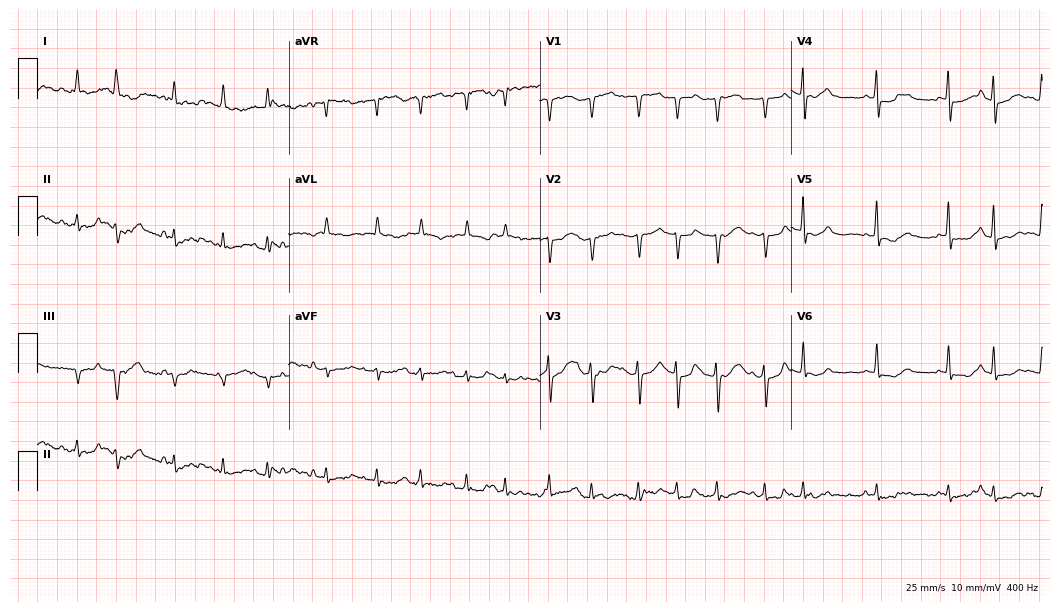
Resting 12-lead electrocardiogram. Patient: an 80-year-old male. None of these six findings is recorded: first-degree AV block, right bundle branch block (RBBB), left bundle branch block (LBBB), sinus bradycardia, atrial fibrillation (AF), sinus tachycardia. Other findings, if any, are not listed.